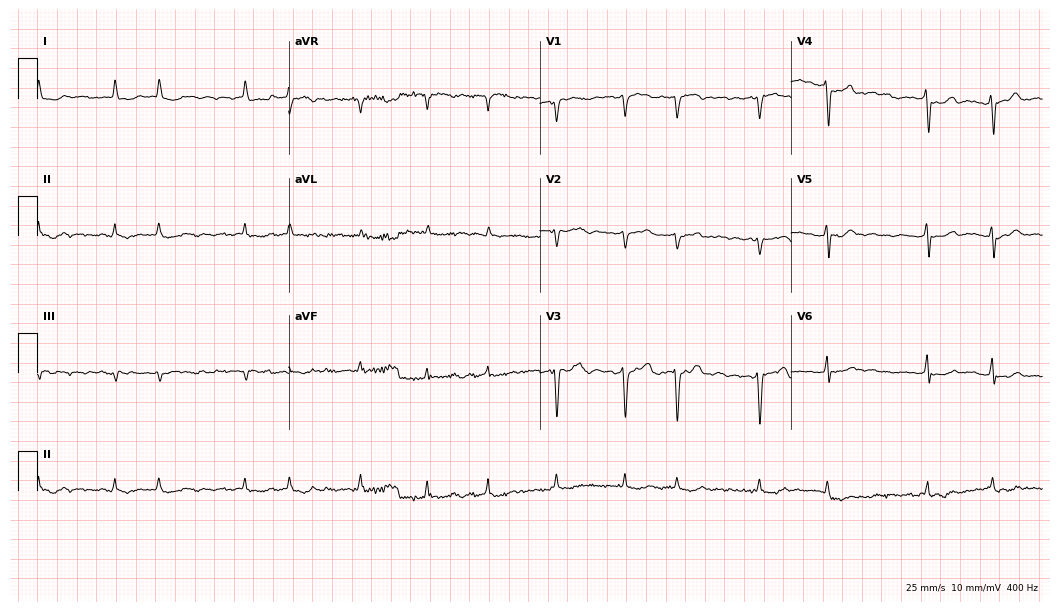
Resting 12-lead electrocardiogram (10.2-second recording at 400 Hz). Patient: a 56-year-old male. The tracing shows atrial fibrillation.